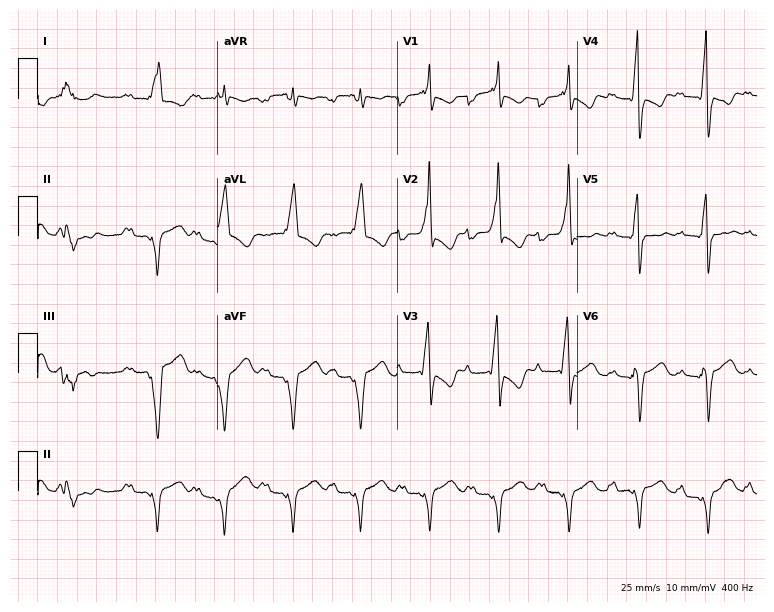
Standard 12-lead ECG recorded from a female, 48 years old. None of these six findings is recorded: first-degree AV block, right bundle branch block, left bundle branch block, sinus bradycardia, atrial fibrillation, sinus tachycardia.